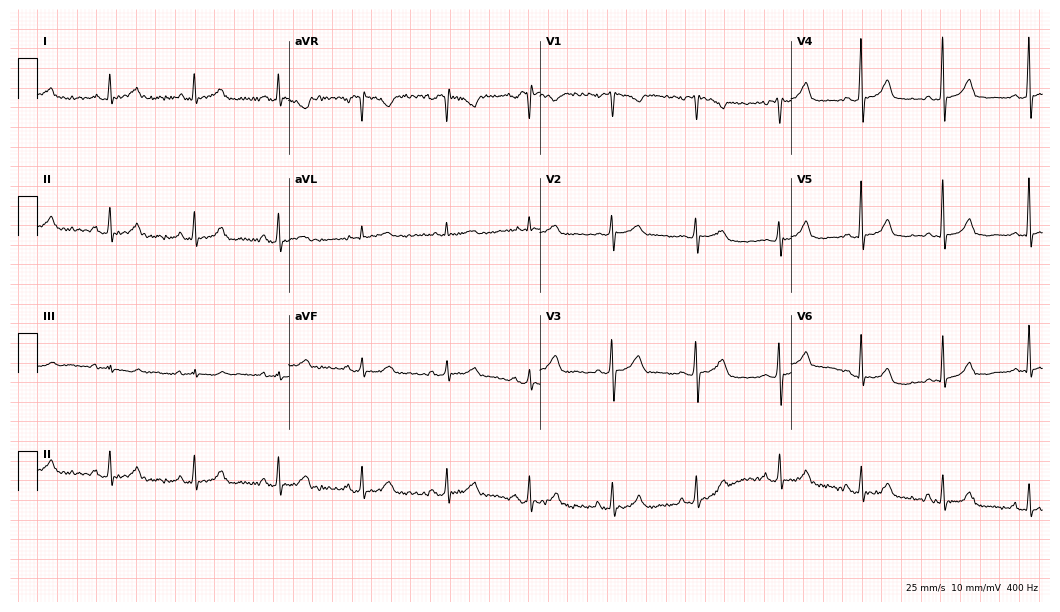
ECG — a 45-year-old woman. Labelled as a normal ECG.